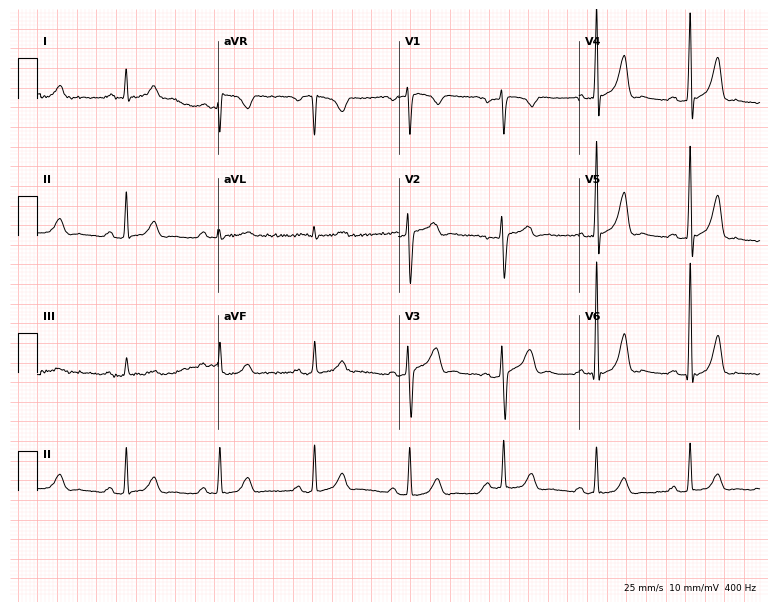
Resting 12-lead electrocardiogram. Patient: a 62-year-old male. Read as a normal ECG.